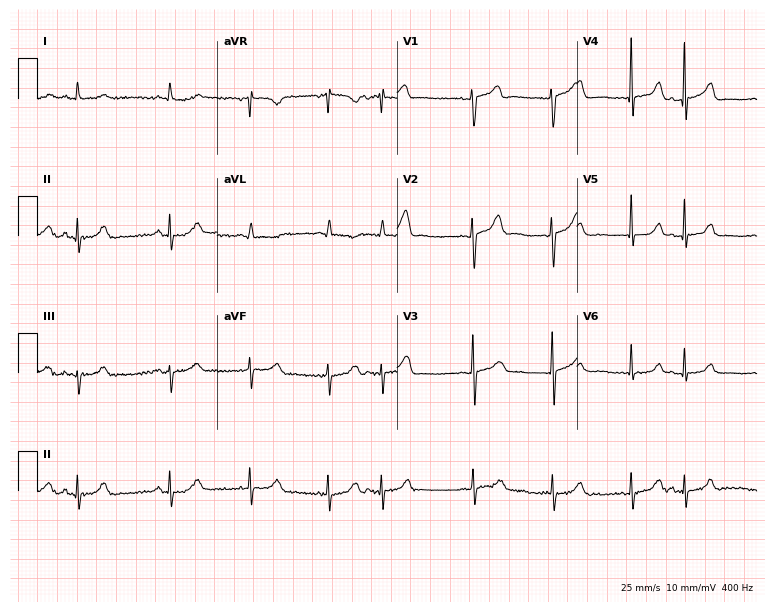
12-lead ECG from a woman, 74 years old (7.3-second recording at 400 Hz). No first-degree AV block, right bundle branch block, left bundle branch block, sinus bradycardia, atrial fibrillation or sinus tachycardia recorded for this tracing. Findings outside these six are not listed.